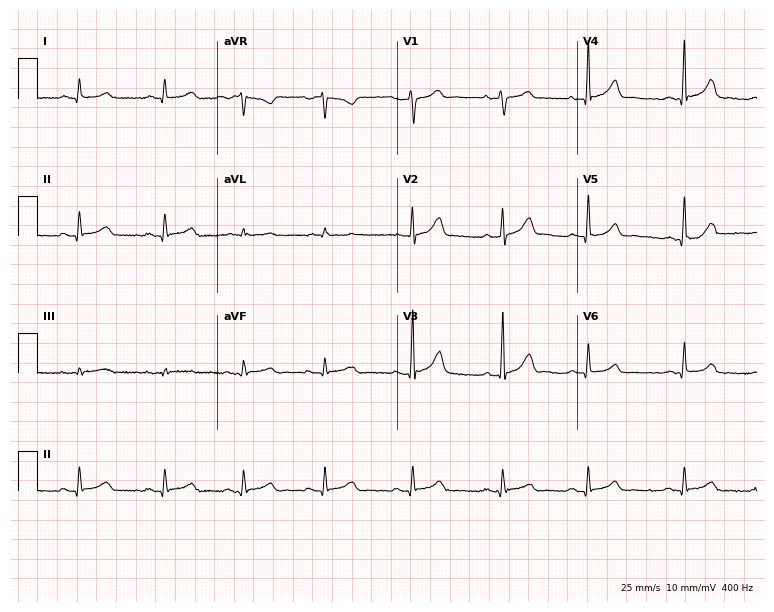
Standard 12-lead ECG recorded from a male, 40 years old (7.3-second recording at 400 Hz). Read as a normal ECG.